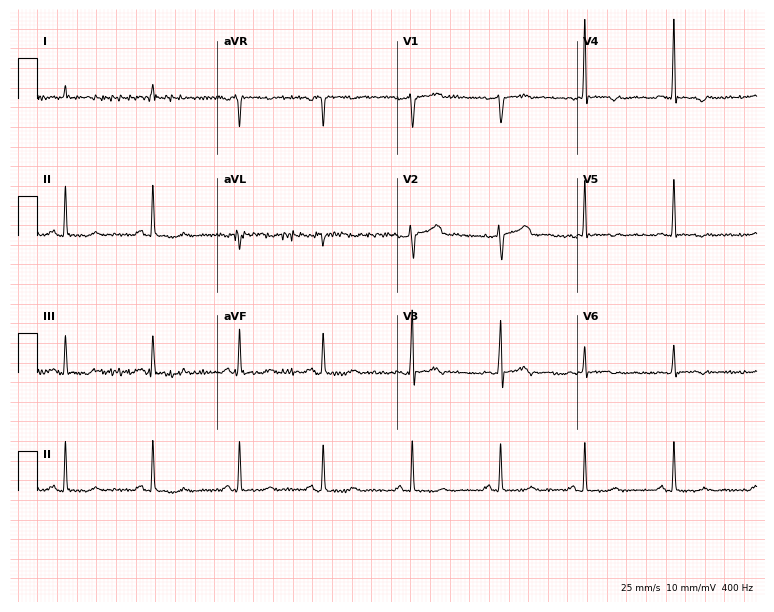
ECG (7.3-second recording at 400 Hz) — a female patient, 41 years old. Screened for six findings — first-degree AV block, right bundle branch block, left bundle branch block, sinus bradycardia, atrial fibrillation, sinus tachycardia — none is recorded.